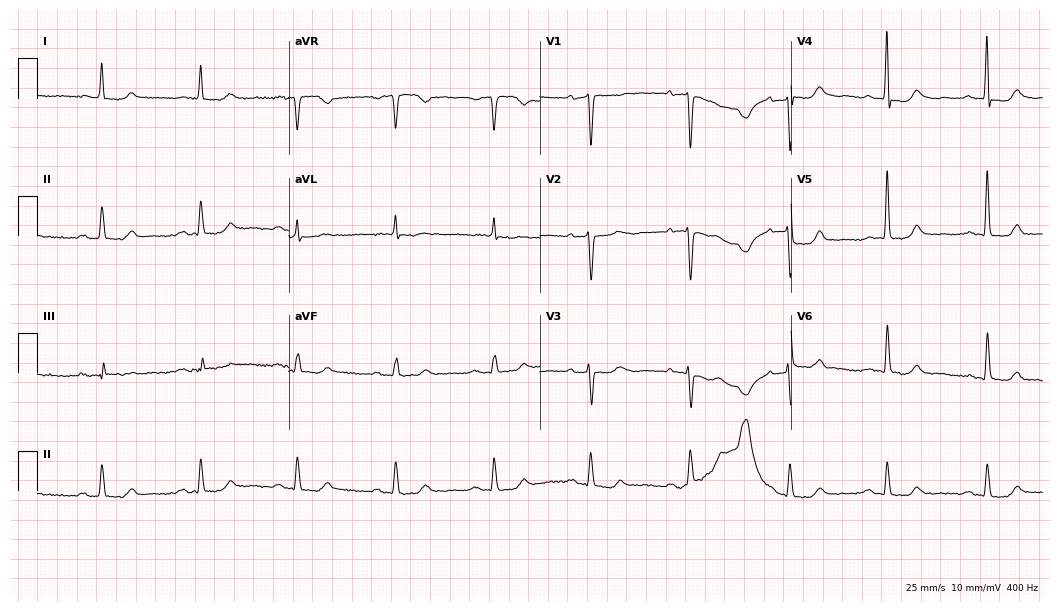
Electrocardiogram (10.2-second recording at 400 Hz), a woman, 66 years old. Overall reading on record: normal ECG.